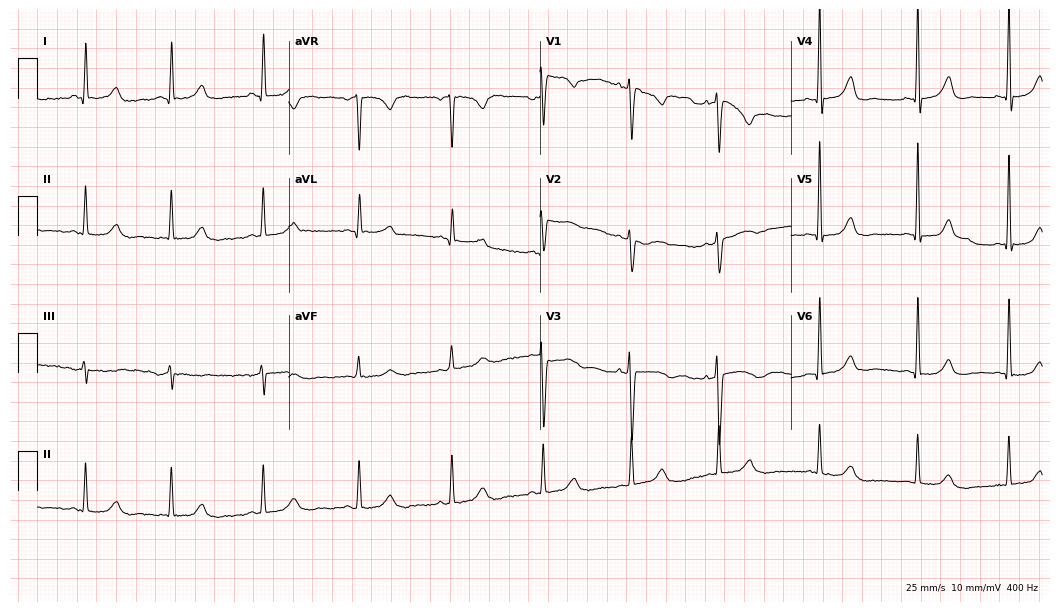
12-lead ECG from a female, 48 years old. Labelled as a normal ECG.